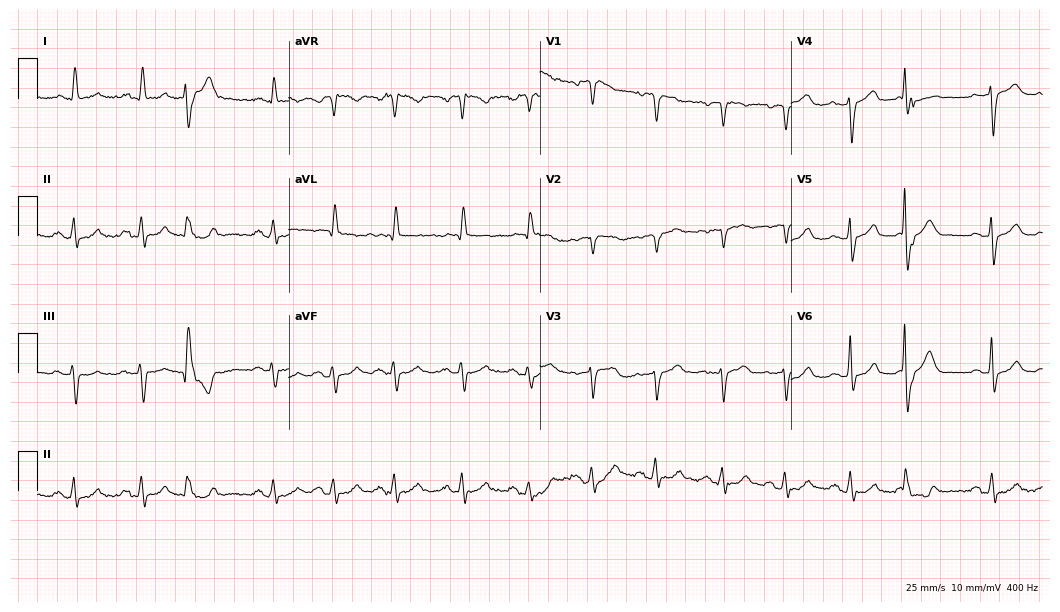
Electrocardiogram, a female patient, 61 years old. Of the six screened findings (first-degree AV block, right bundle branch block (RBBB), left bundle branch block (LBBB), sinus bradycardia, atrial fibrillation (AF), sinus tachycardia), none is recorded.